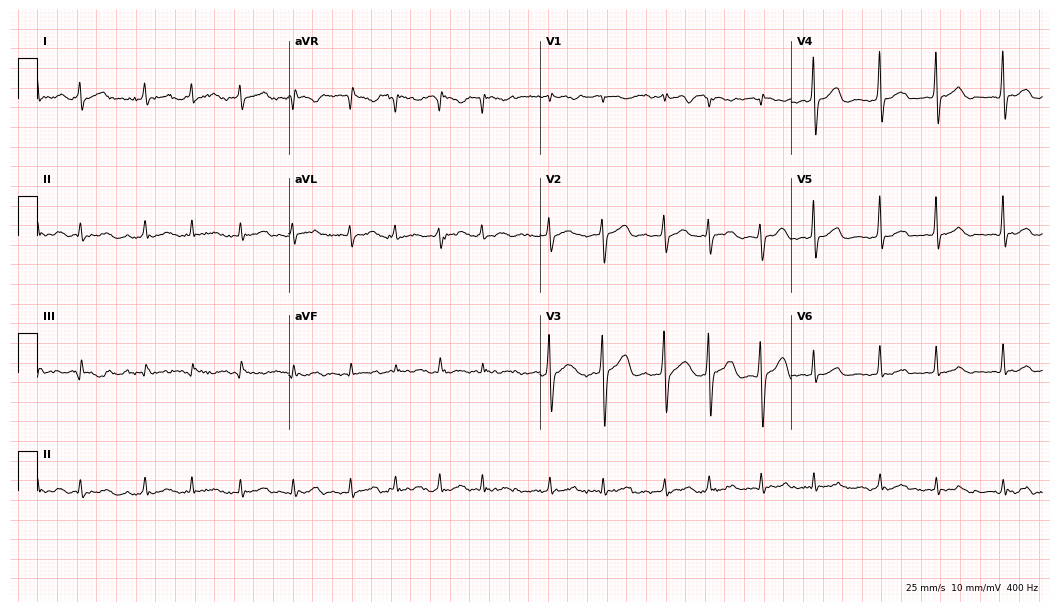
Standard 12-lead ECG recorded from a 78-year-old female patient. The tracing shows atrial fibrillation, sinus tachycardia (a sinus rate of 100 beats per minute or more).